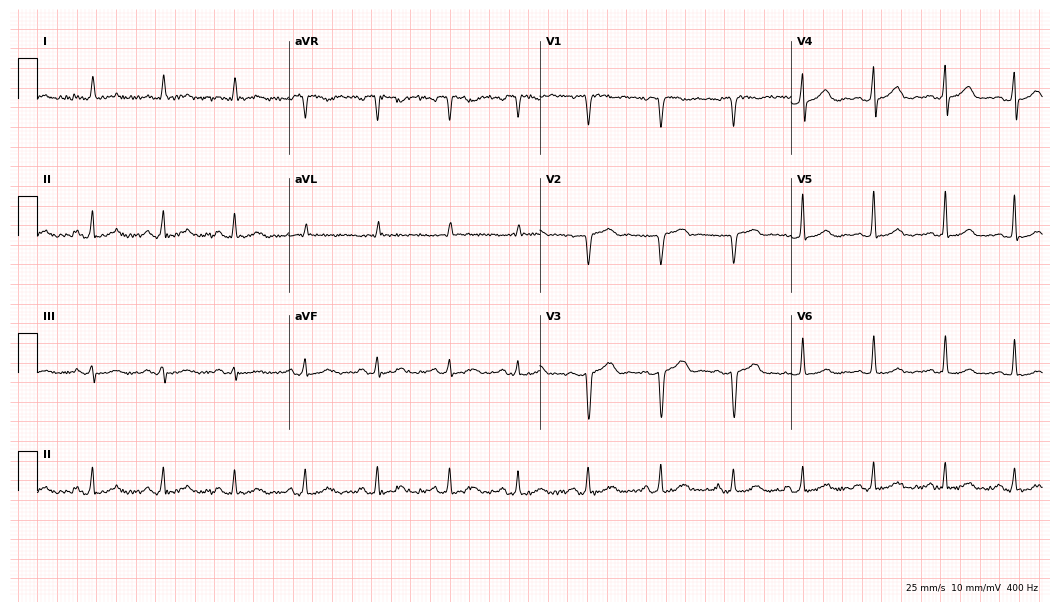
ECG (10.2-second recording at 400 Hz) — a female patient, 50 years old. Screened for six findings — first-degree AV block, right bundle branch block, left bundle branch block, sinus bradycardia, atrial fibrillation, sinus tachycardia — none is recorded. Other findings, if any, are not listed.